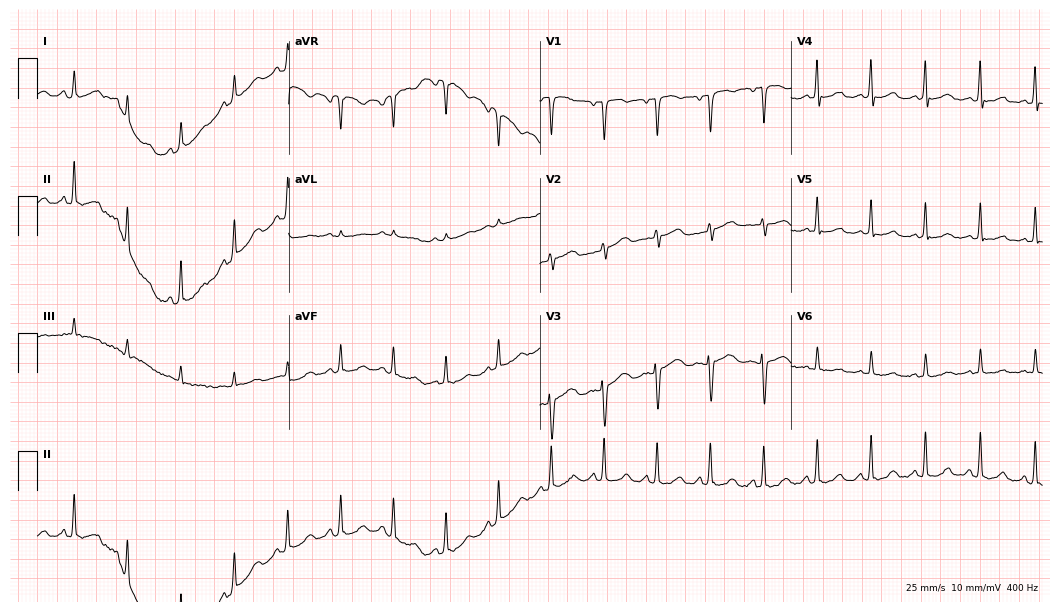
ECG (10.2-second recording at 400 Hz) — a female, 55 years old. Screened for six findings — first-degree AV block, right bundle branch block (RBBB), left bundle branch block (LBBB), sinus bradycardia, atrial fibrillation (AF), sinus tachycardia — none is recorded.